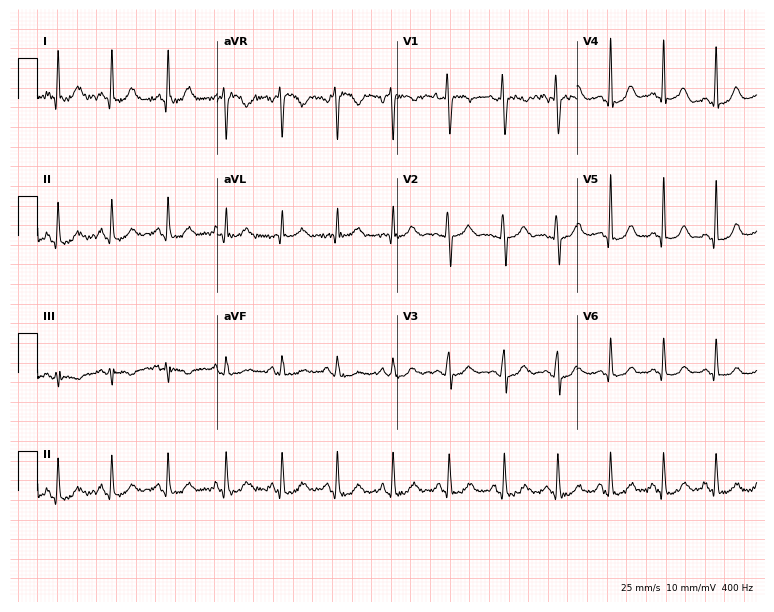
Standard 12-lead ECG recorded from a female patient, 35 years old. The tracing shows sinus tachycardia (a sinus rate of 100 beats per minute or more).